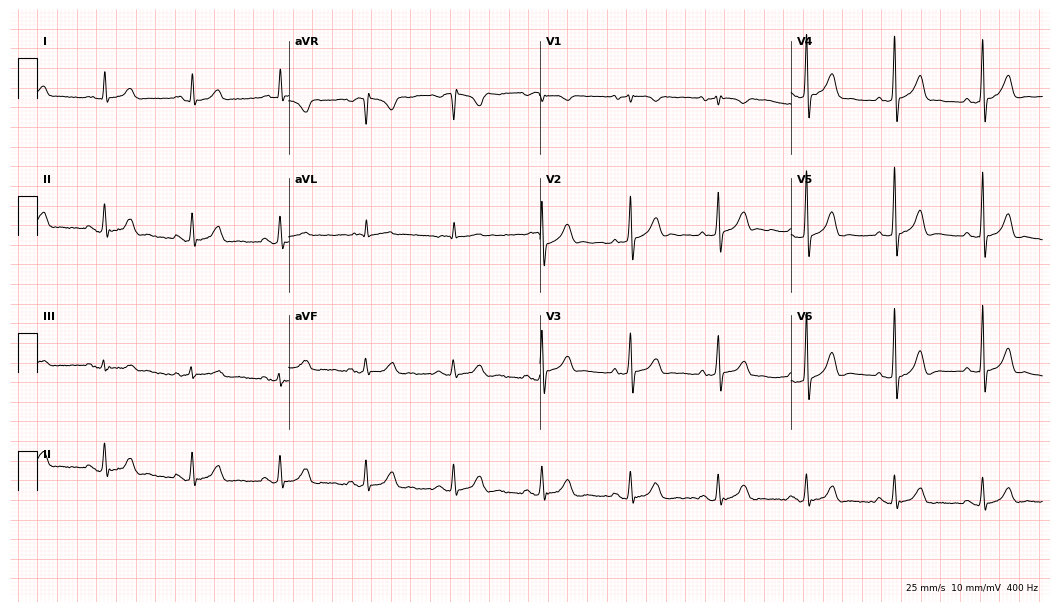
12-lead ECG from a male, 82 years old (10.2-second recording at 400 Hz). Recorded interpretation: within normal limits.